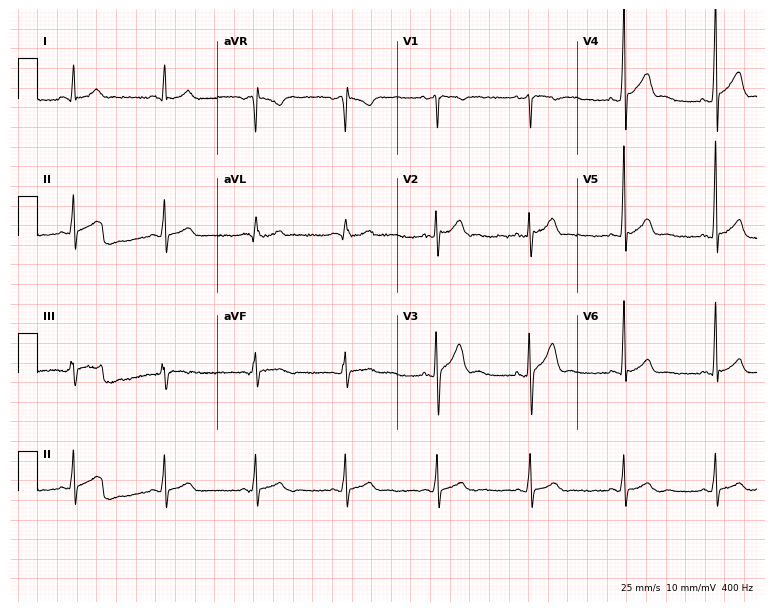
12-lead ECG from a 35-year-old male patient. Labelled as a normal ECG.